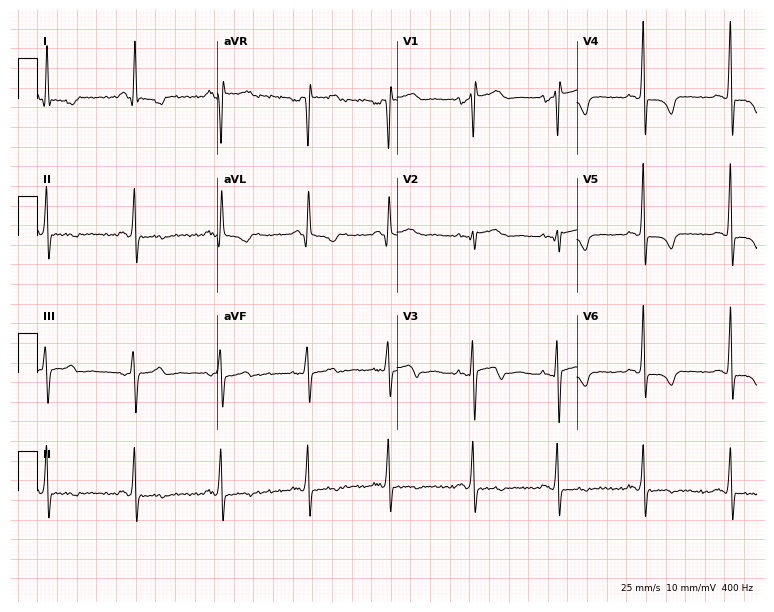
Resting 12-lead electrocardiogram. Patient: a woman, 61 years old. None of these six findings is recorded: first-degree AV block, right bundle branch block, left bundle branch block, sinus bradycardia, atrial fibrillation, sinus tachycardia. Other findings, if any, are not listed.